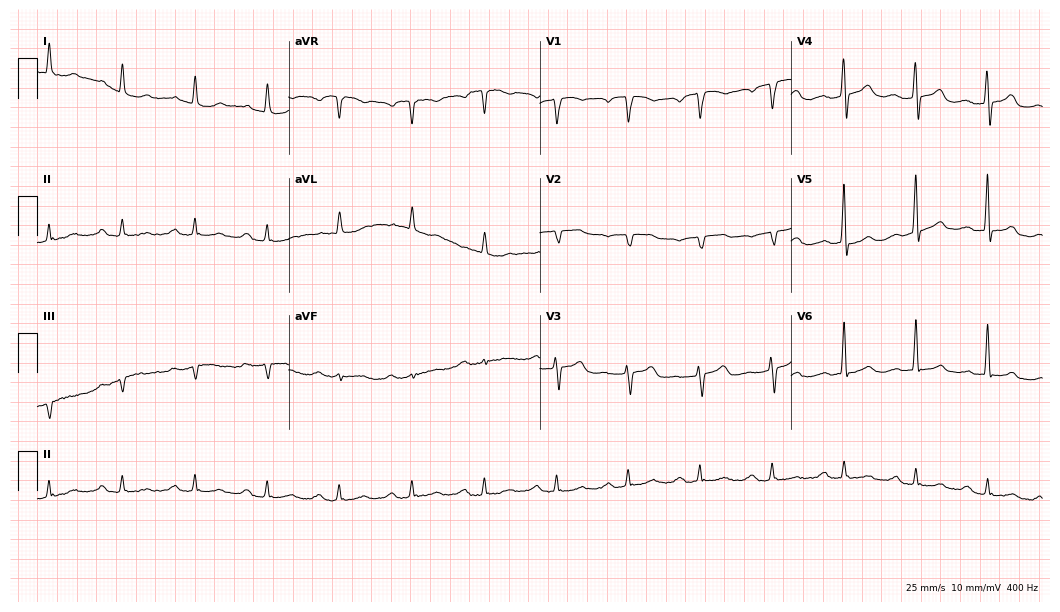
Resting 12-lead electrocardiogram. Patient: a male, 83 years old. The tracing shows first-degree AV block.